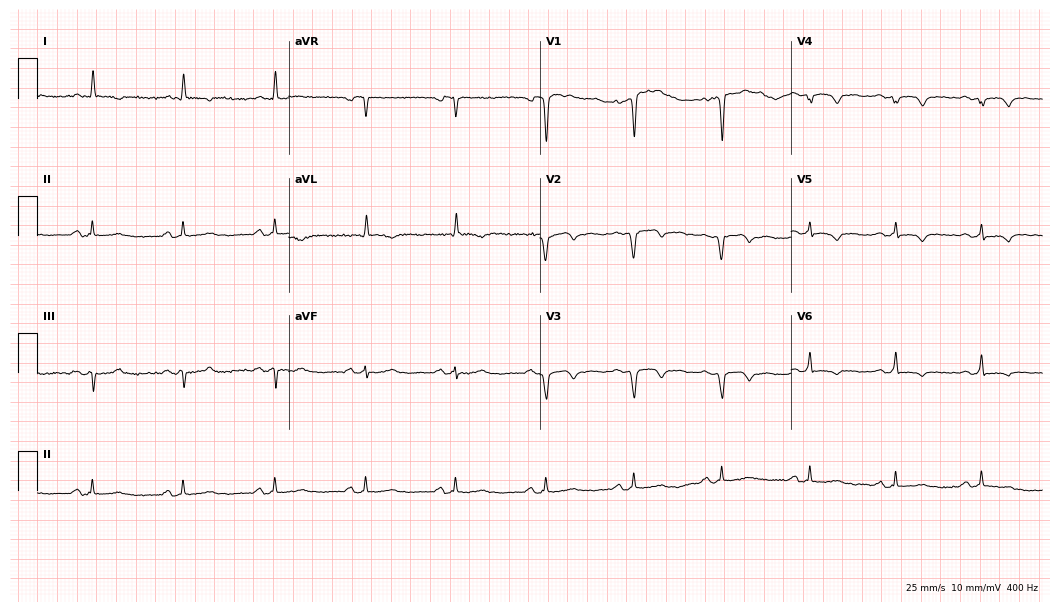
Standard 12-lead ECG recorded from a male, 68 years old (10.2-second recording at 400 Hz). None of these six findings is recorded: first-degree AV block, right bundle branch block (RBBB), left bundle branch block (LBBB), sinus bradycardia, atrial fibrillation (AF), sinus tachycardia.